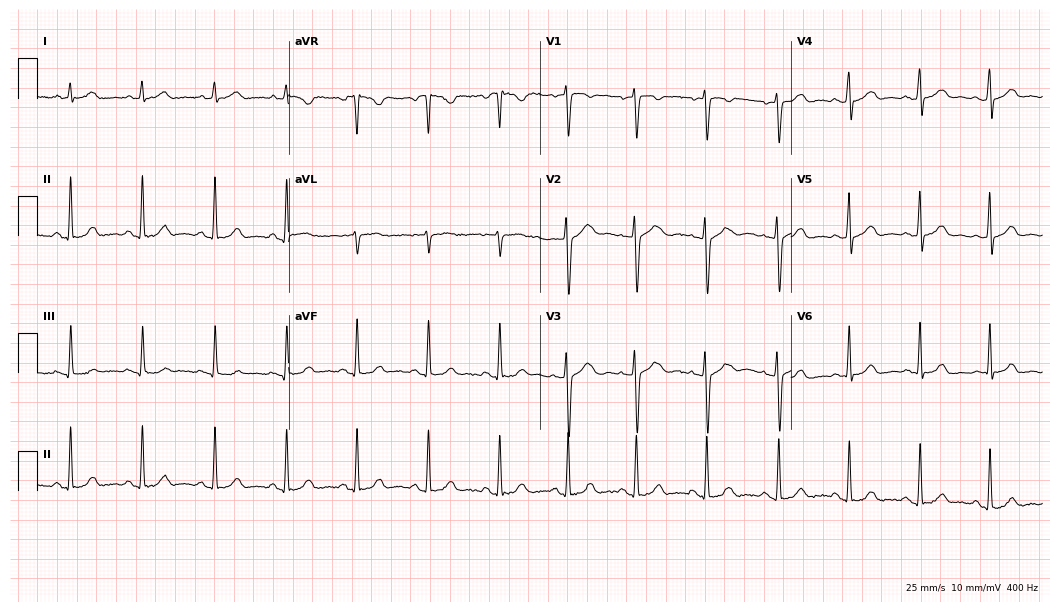
12-lead ECG from a 24-year-old female patient. Recorded interpretation: within normal limits.